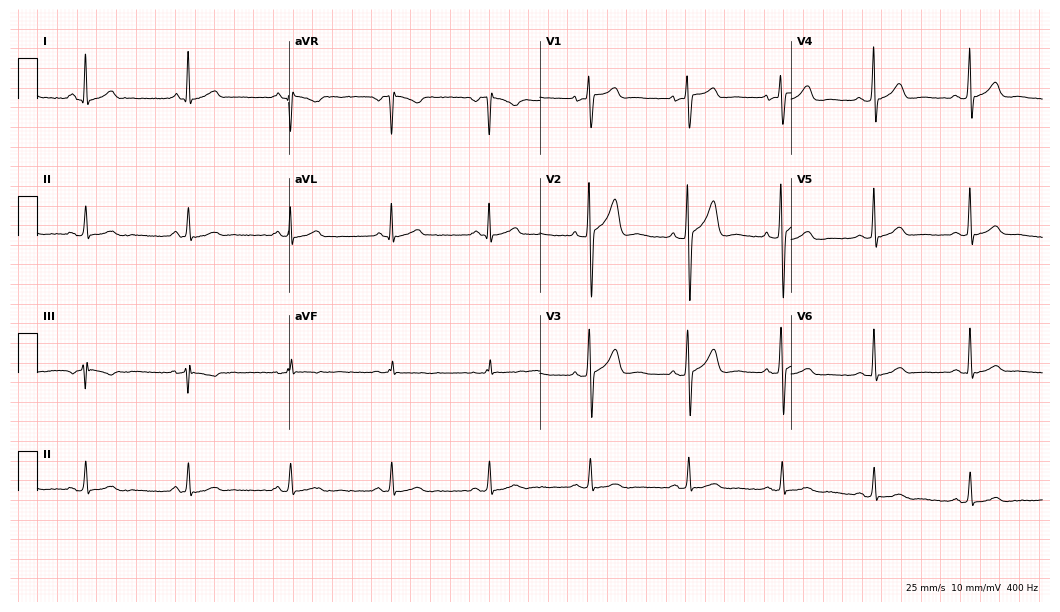
ECG — a 33-year-old male patient. Labelled as a normal ECG.